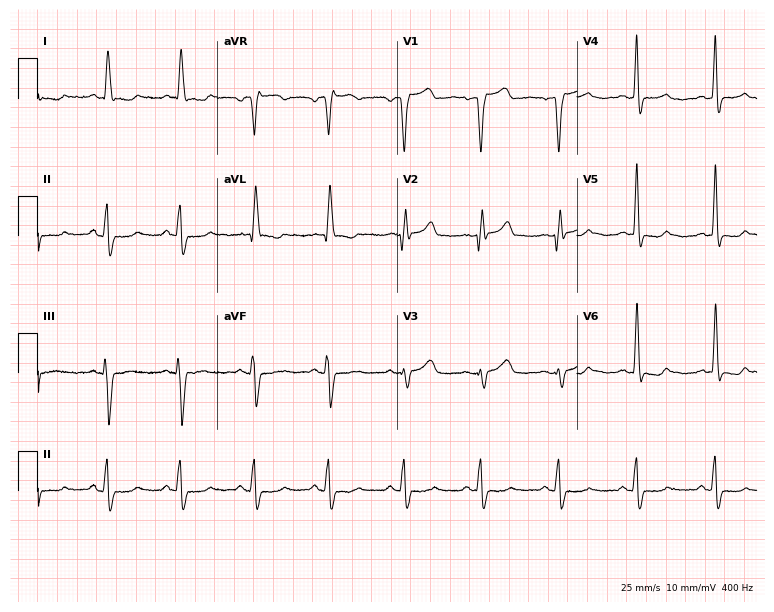
12-lead ECG (7.3-second recording at 400 Hz) from a woman, 53 years old. Screened for six findings — first-degree AV block, right bundle branch block (RBBB), left bundle branch block (LBBB), sinus bradycardia, atrial fibrillation (AF), sinus tachycardia — none is recorded. Only these six findings were labelled.